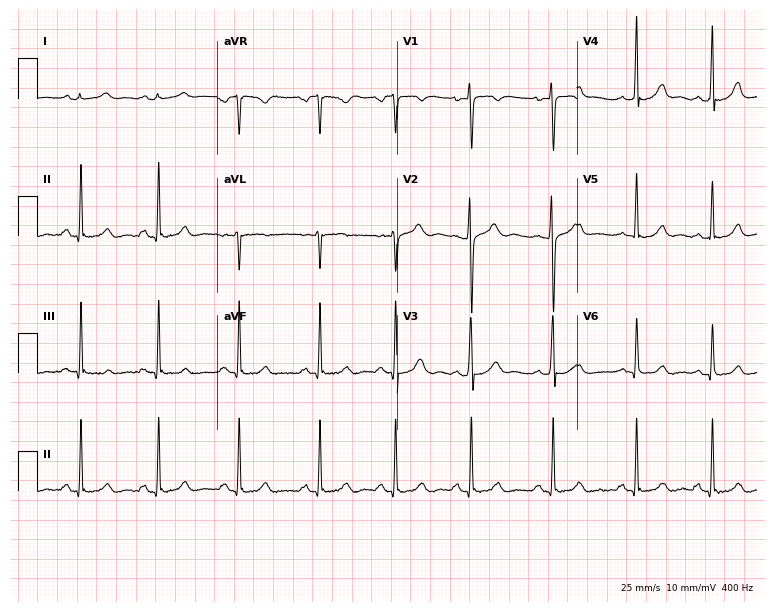
12-lead ECG (7.3-second recording at 400 Hz) from a female, 21 years old. Screened for six findings — first-degree AV block, right bundle branch block, left bundle branch block, sinus bradycardia, atrial fibrillation, sinus tachycardia — none is recorded. Only these six findings were labelled.